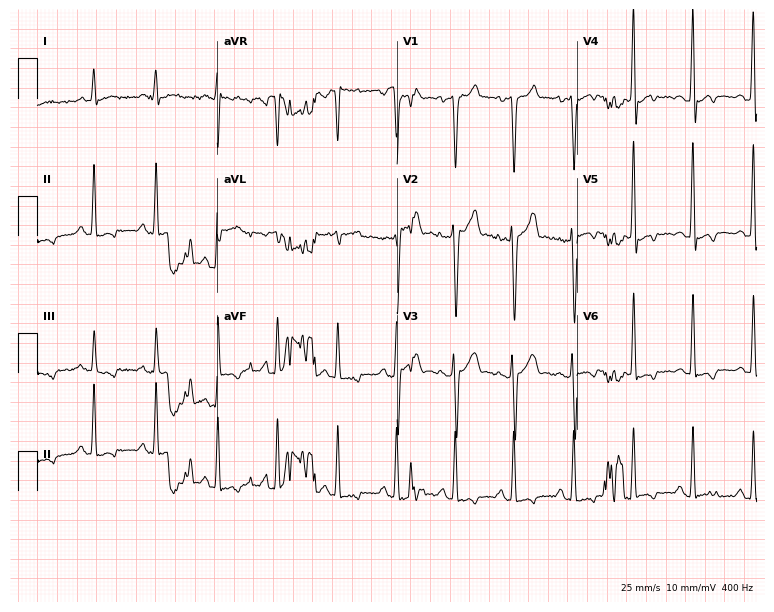
Resting 12-lead electrocardiogram. Patient: a male, 34 years old. None of these six findings is recorded: first-degree AV block, right bundle branch block, left bundle branch block, sinus bradycardia, atrial fibrillation, sinus tachycardia. Findings outside these six are not listed.